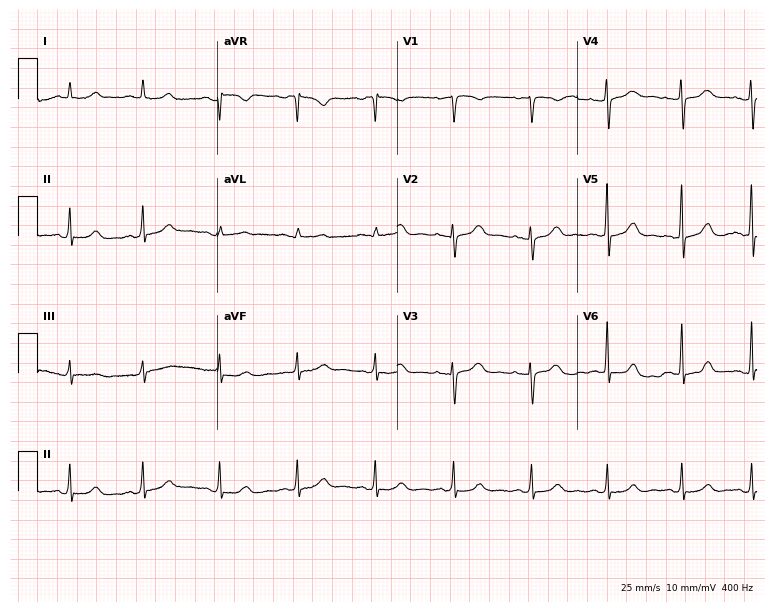
ECG — a female patient, 37 years old. Labelled as a normal ECG.